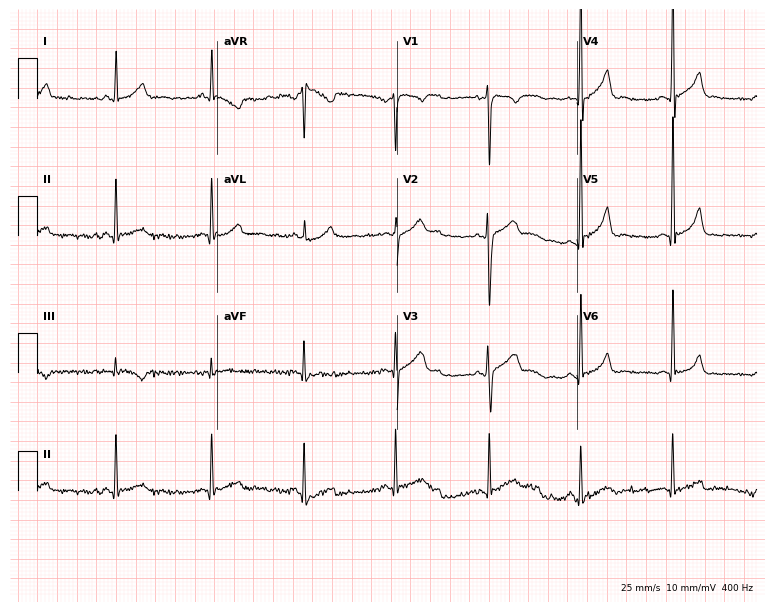
Electrocardiogram, a 31-year-old man. Overall reading on record: normal ECG.